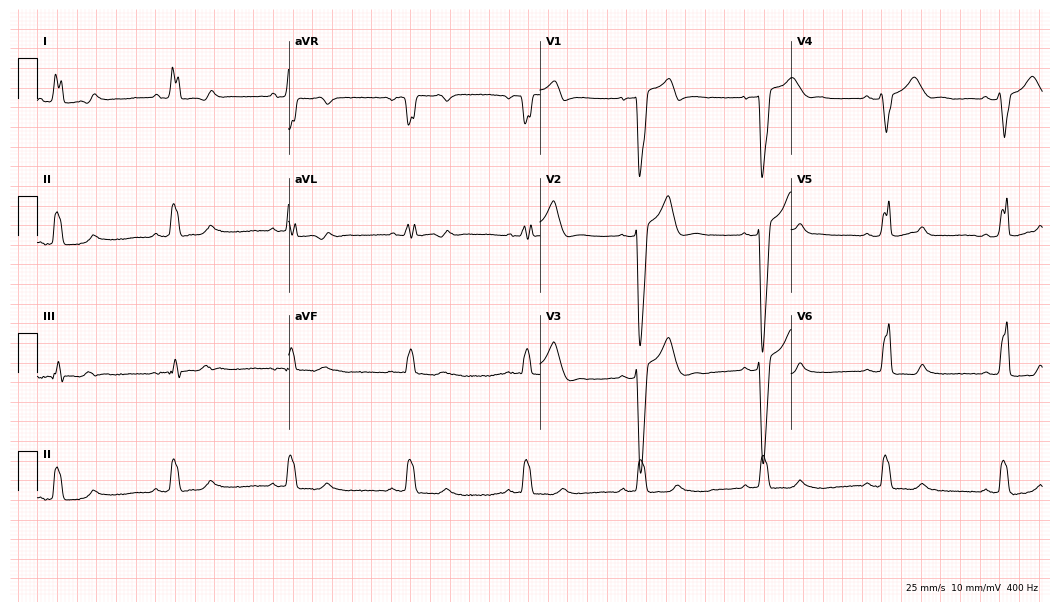
12-lead ECG from a 53-year-old male patient. Shows right bundle branch block, left bundle branch block, sinus bradycardia (a sinus rate of 50 beats per minute or less).